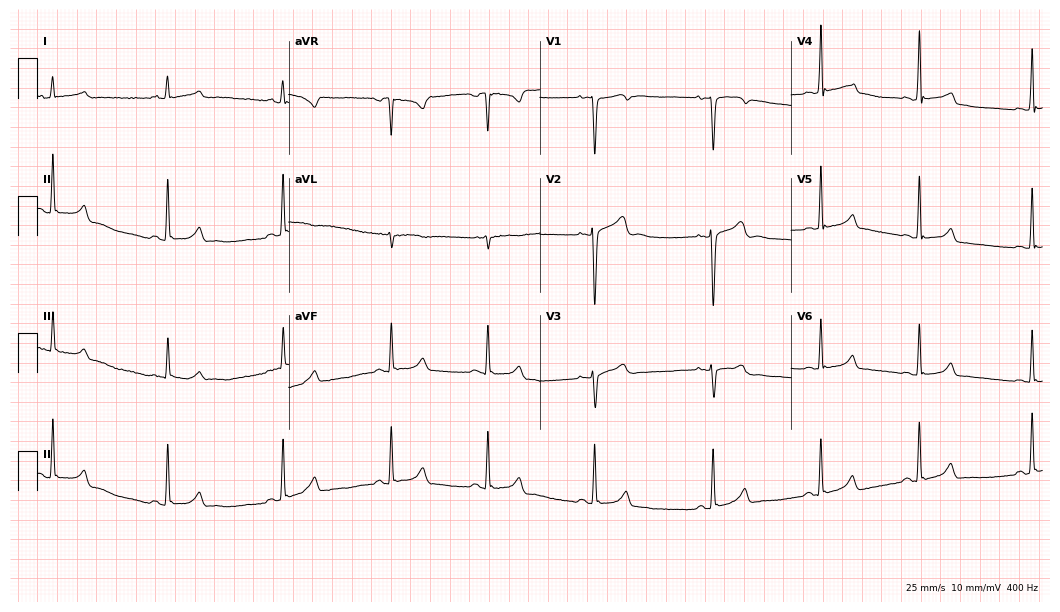
12-lead ECG from an 18-year-old female patient (10.2-second recording at 400 Hz). Recorded interpretation: within normal limits.